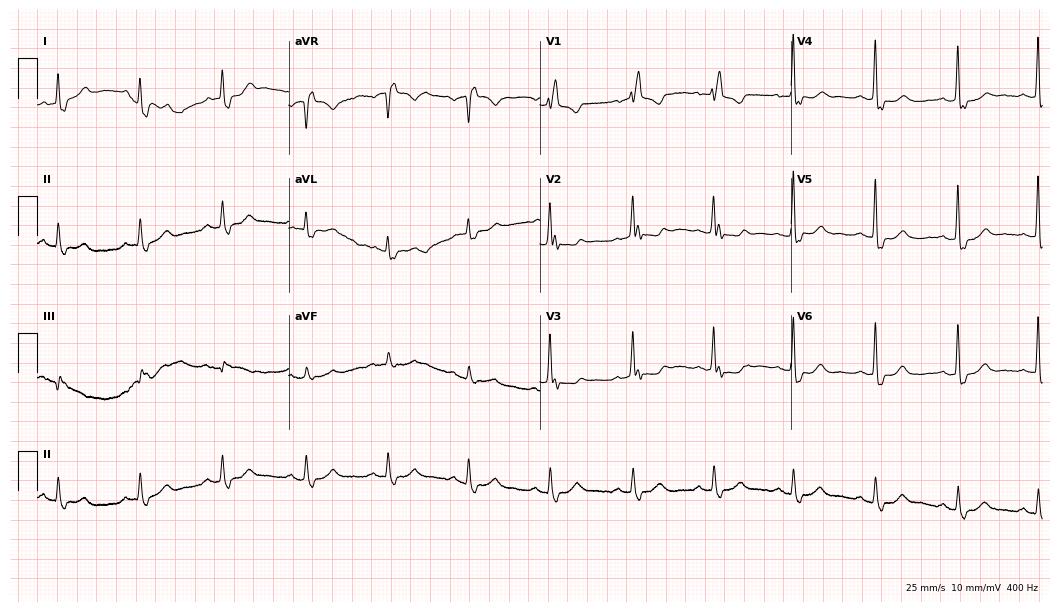
Standard 12-lead ECG recorded from a woman, 63 years old (10.2-second recording at 400 Hz). The tracing shows right bundle branch block.